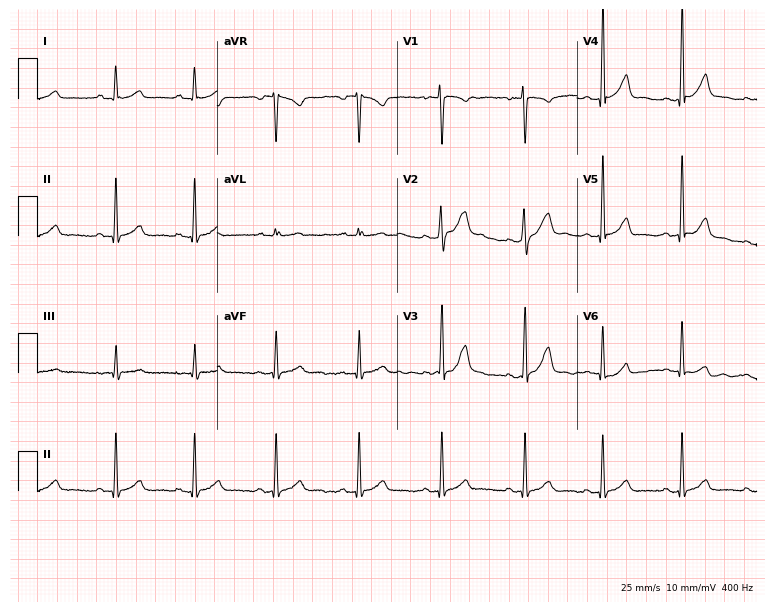
Resting 12-lead electrocardiogram (7.3-second recording at 400 Hz). Patient: a female, 22 years old. None of these six findings is recorded: first-degree AV block, right bundle branch block, left bundle branch block, sinus bradycardia, atrial fibrillation, sinus tachycardia.